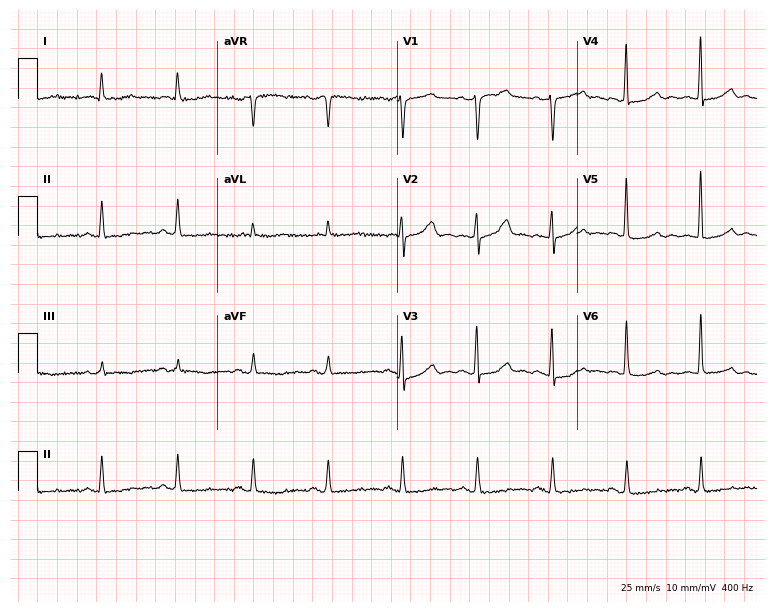
12-lead ECG from a 78-year-old female patient (7.3-second recording at 400 Hz). Recorded interpretation: within normal limits.